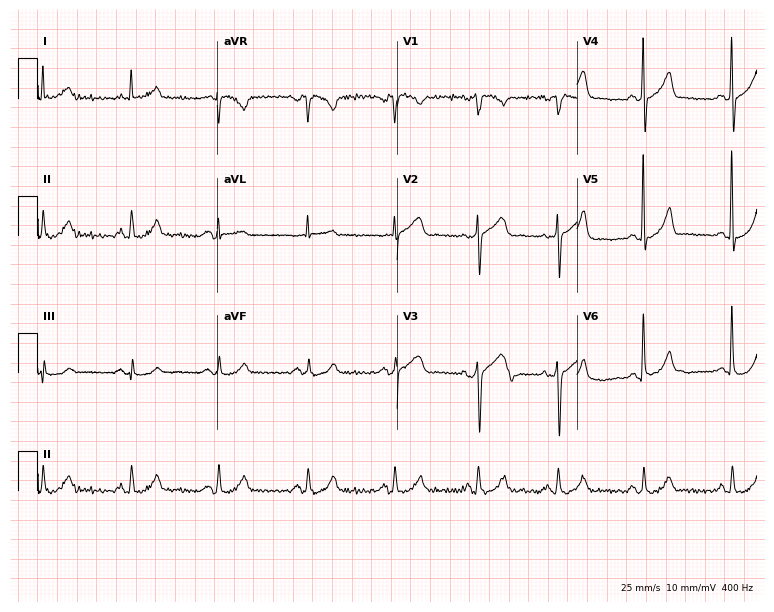
Resting 12-lead electrocardiogram (7.3-second recording at 400 Hz). Patient: a 68-year-old male. Read as a normal ECG.